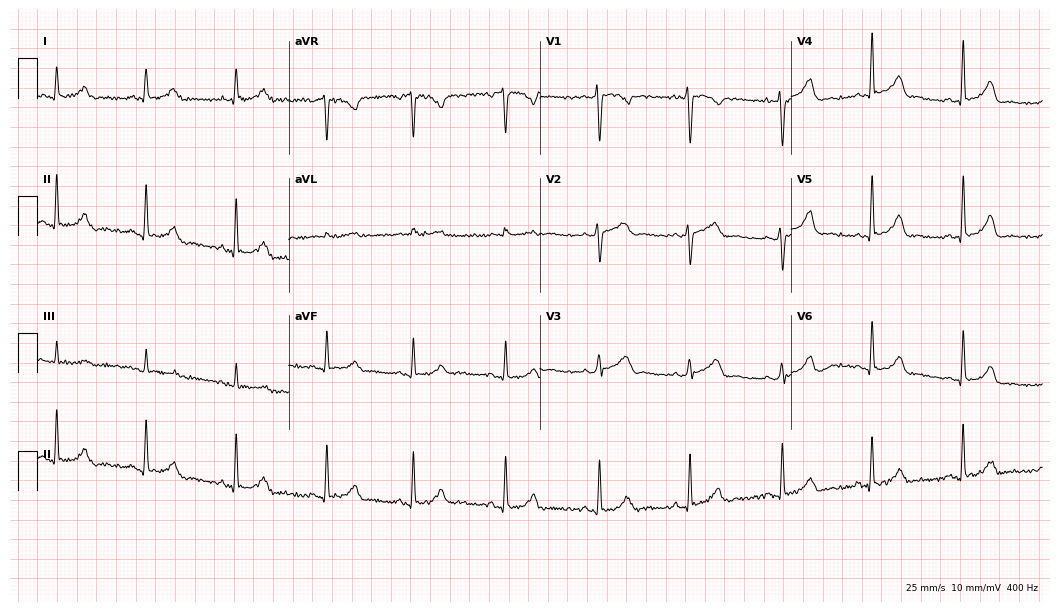
Standard 12-lead ECG recorded from a 34-year-old female patient (10.2-second recording at 400 Hz). Read as a normal ECG.